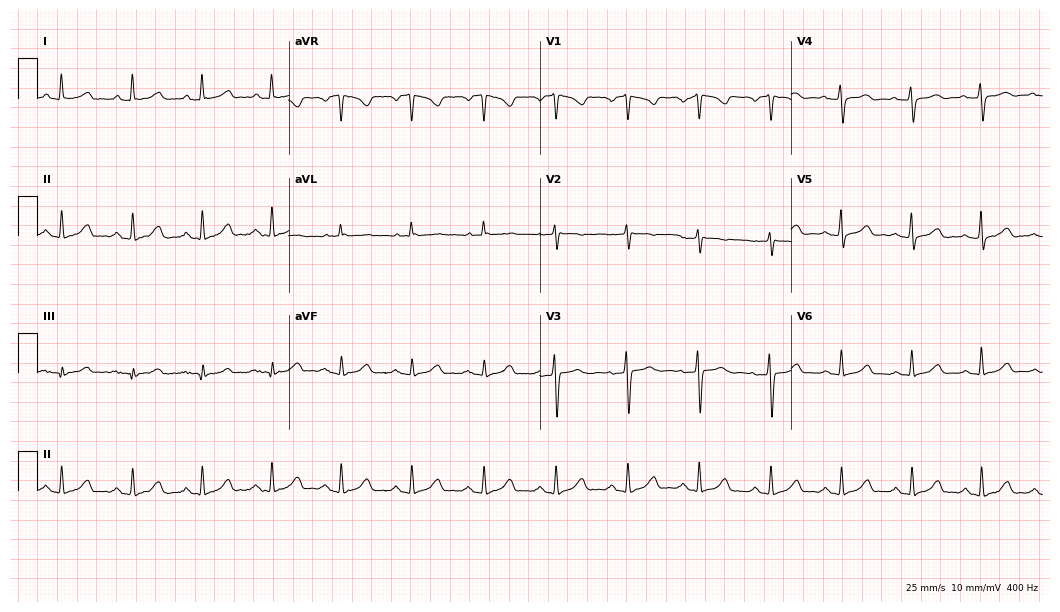
12-lead ECG from a female patient, 58 years old. Labelled as a normal ECG.